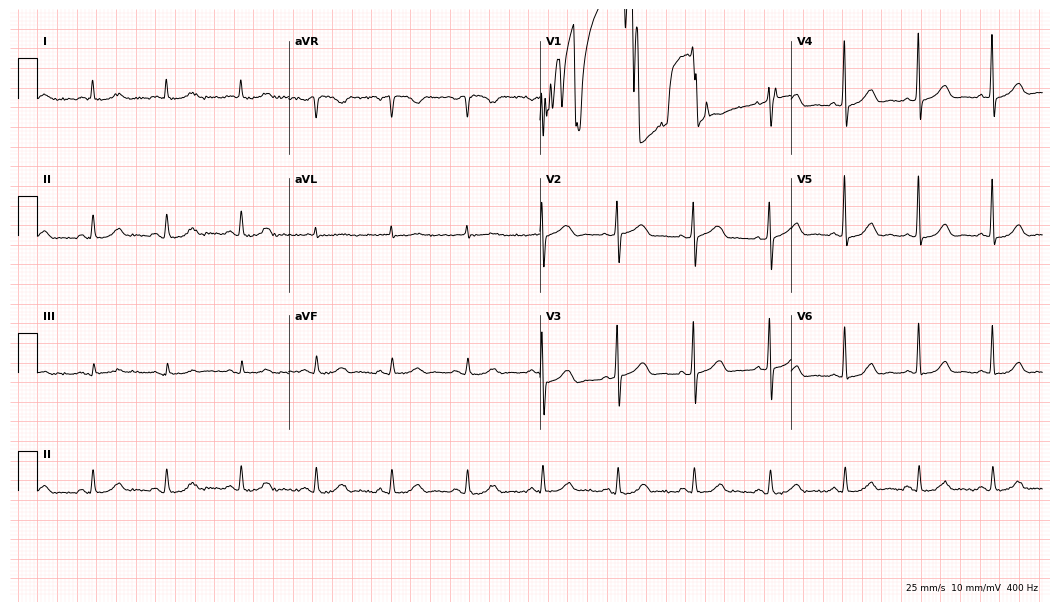
Electrocardiogram, a male patient, 73 years old. Of the six screened findings (first-degree AV block, right bundle branch block, left bundle branch block, sinus bradycardia, atrial fibrillation, sinus tachycardia), none is recorded. Only these six findings were labelled.